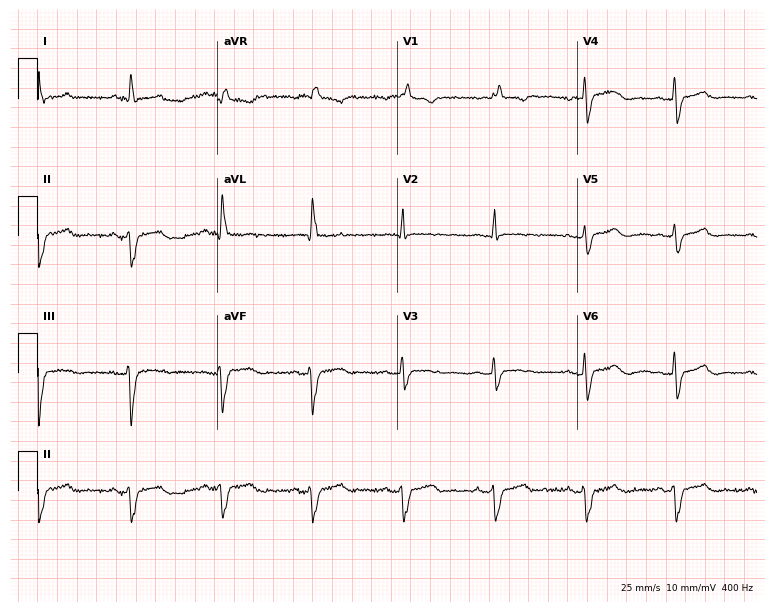
ECG — a female patient, 40 years old. Findings include right bundle branch block.